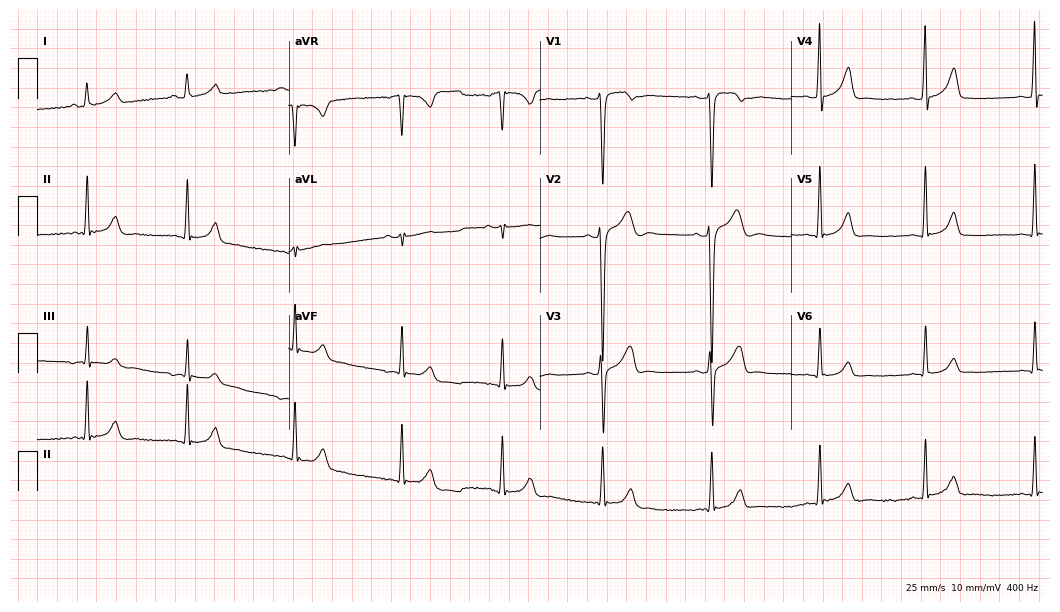
12-lead ECG from a man, 18 years old. Screened for six findings — first-degree AV block, right bundle branch block, left bundle branch block, sinus bradycardia, atrial fibrillation, sinus tachycardia — none is recorded.